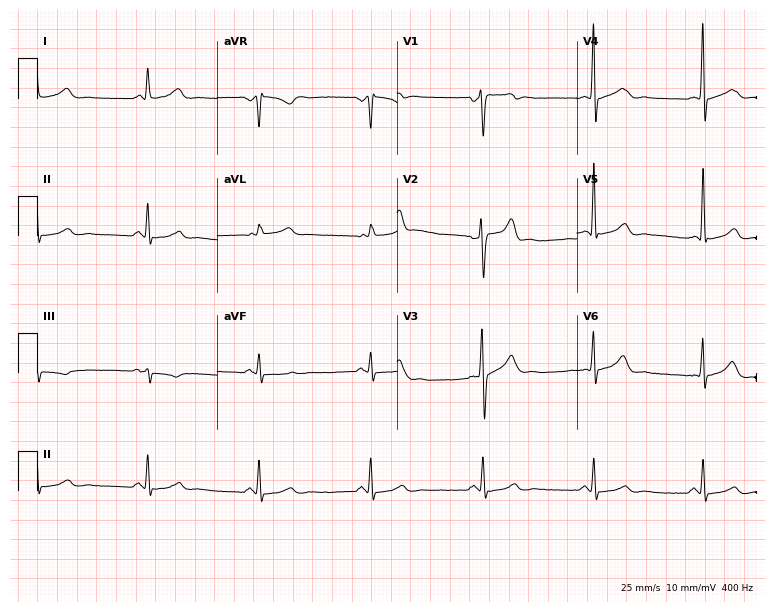
12-lead ECG (7.3-second recording at 400 Hz) from a 51-year-old male. Screened for six findings — first-degree AV block, right bundle branch block, left bundle branch block, sinus bradycardia, atrial fibrillation, sinus tachycardia — none is recorded.